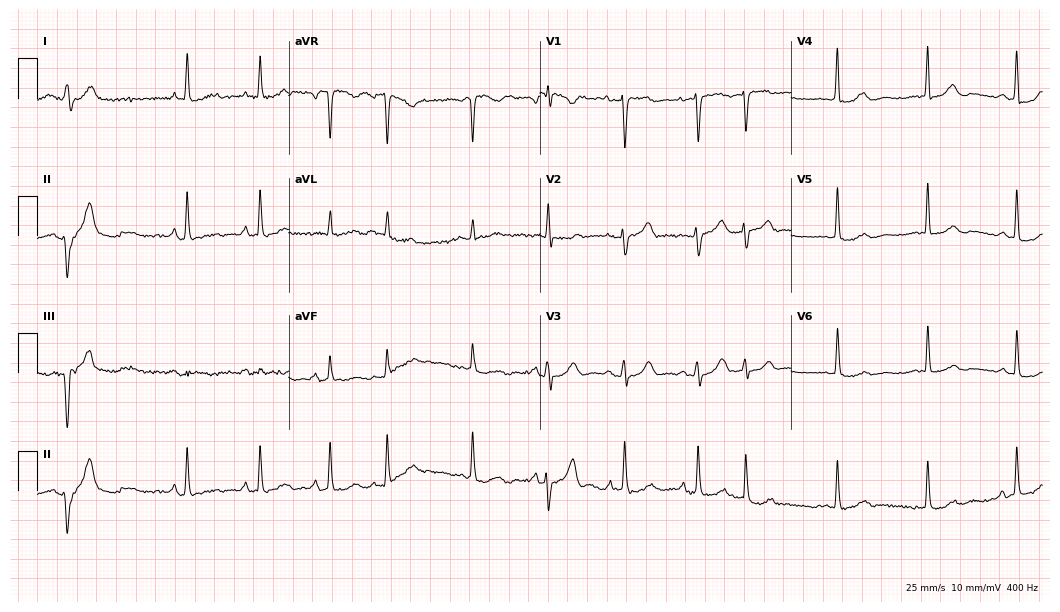
12-lead ECG from a woman, 73 years old. No first-degree AV block, right bundle branch block, left bundle branch block, sinus bradycardia, atrial fibrillation or sinus tachycardia recorded for this tracing. Only these six findings were labelled.